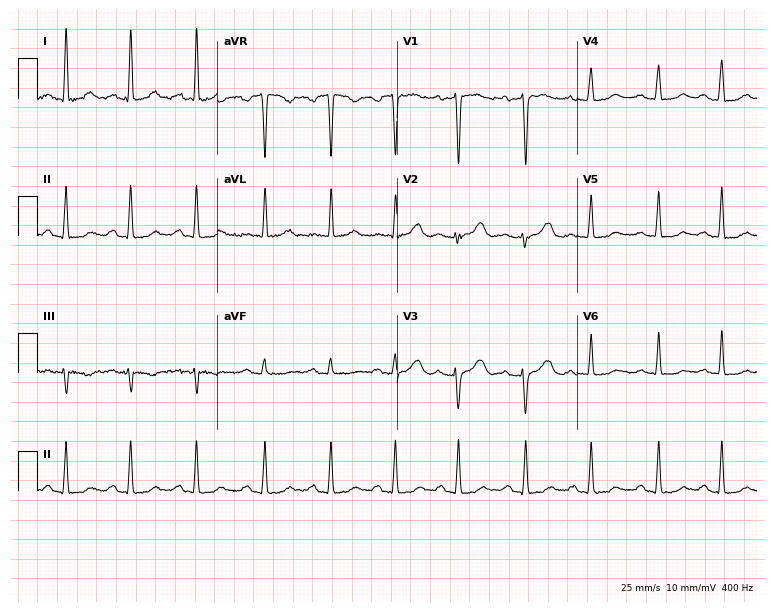
12-lead ECG from a female patient, 45 years old. Screened for six findings — first-degree AV block, right bundle branch block, left bundle branch block, sinus bradycardia, atrial fibrillation, sinus tachycardia — none is recorded. Findings outside these six are not listed.